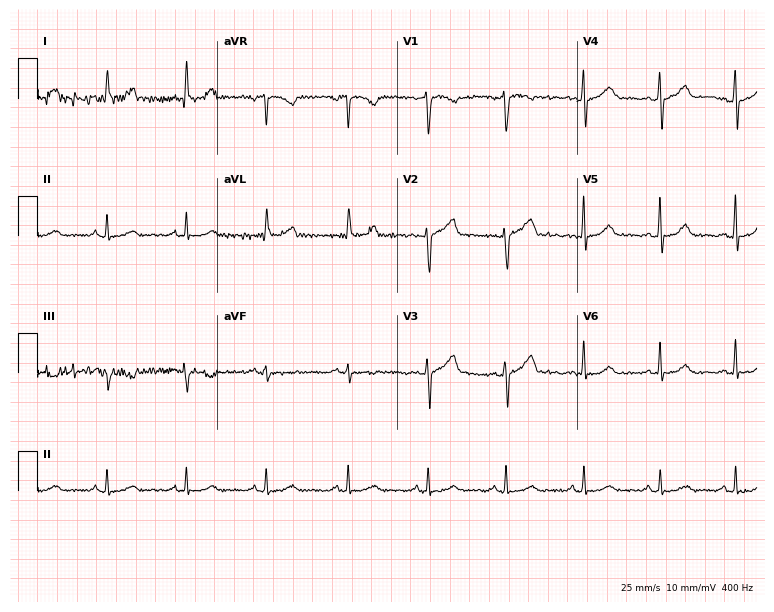
Resting 12-lead electrocardiogram (7.3-second recording at 400 Hz). Patient: a female, 45 years old. Read as a normal ECG.